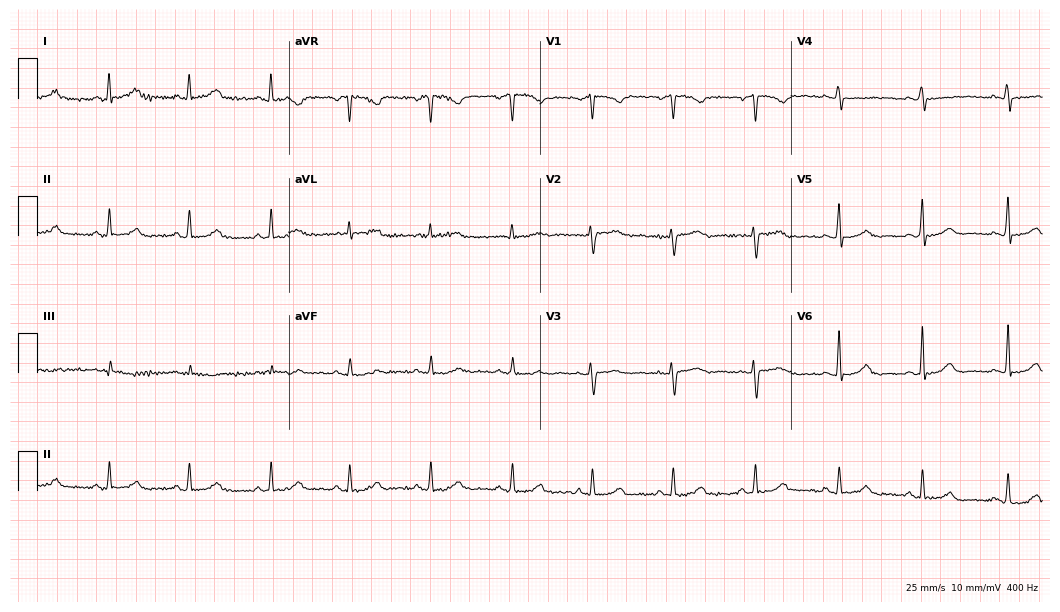
Resting 12-lead electrocardiogram. Patient: a woman, 62 years old. Read as a normal ECG.